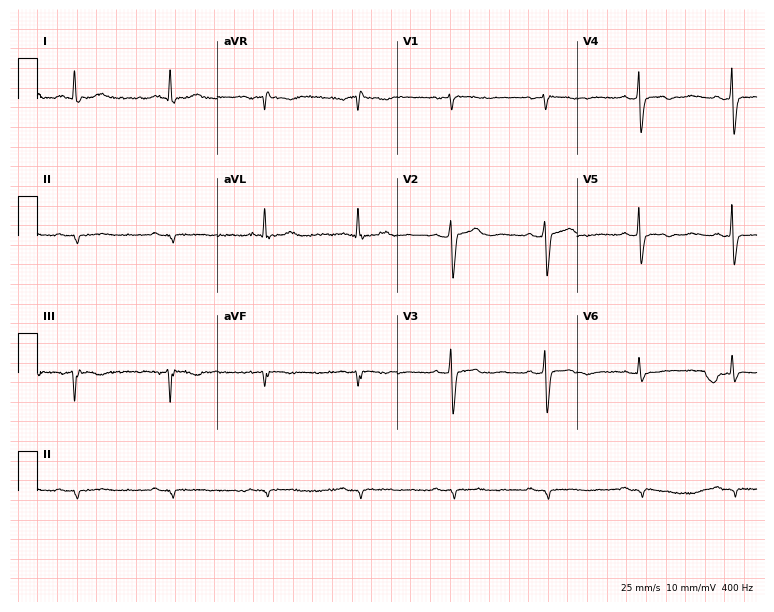
12-lead ECG from a 65-year-old male (7.3-second recording at 400 Hz). No first-degree AV block, right bundle branch block (RBBB), left bundle branch block (LBBB), sinus bradycardia, atrial fibrillation (AF) or sinus tachycardia recorded for this tracing. Only these six findings were labelled.